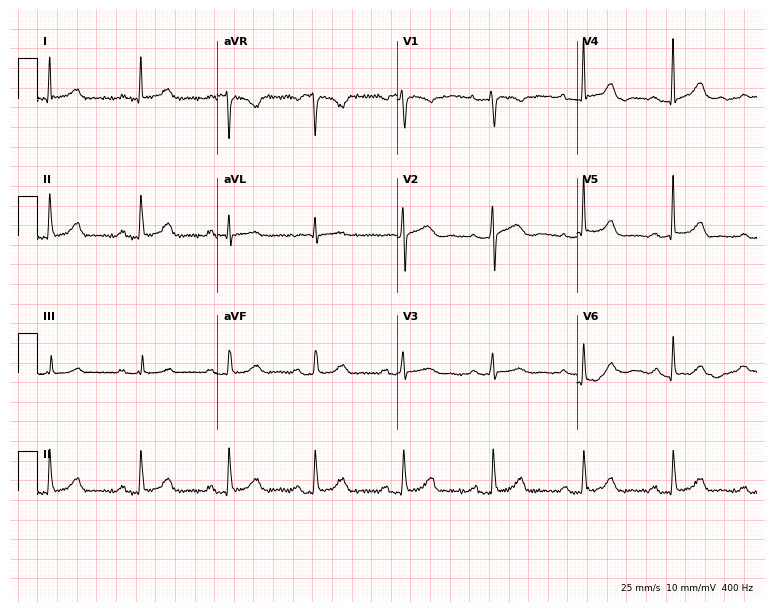
Electrocardiogram (7.3-second recording at 400 Hz), a woman, 54 years old. Overall reading on record: normal ECG.